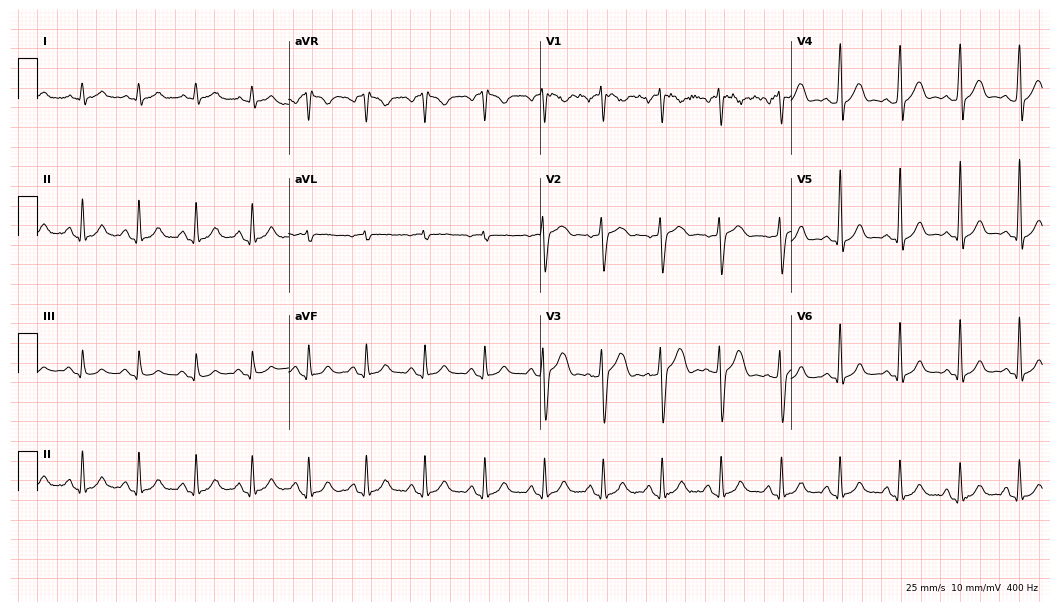
12-lead ECG (10.2-second recording at 400 Hz) from a male patient, 39 years old. Findings include sinus tachycardia (a sinus rate of 100 beats per minute or more).